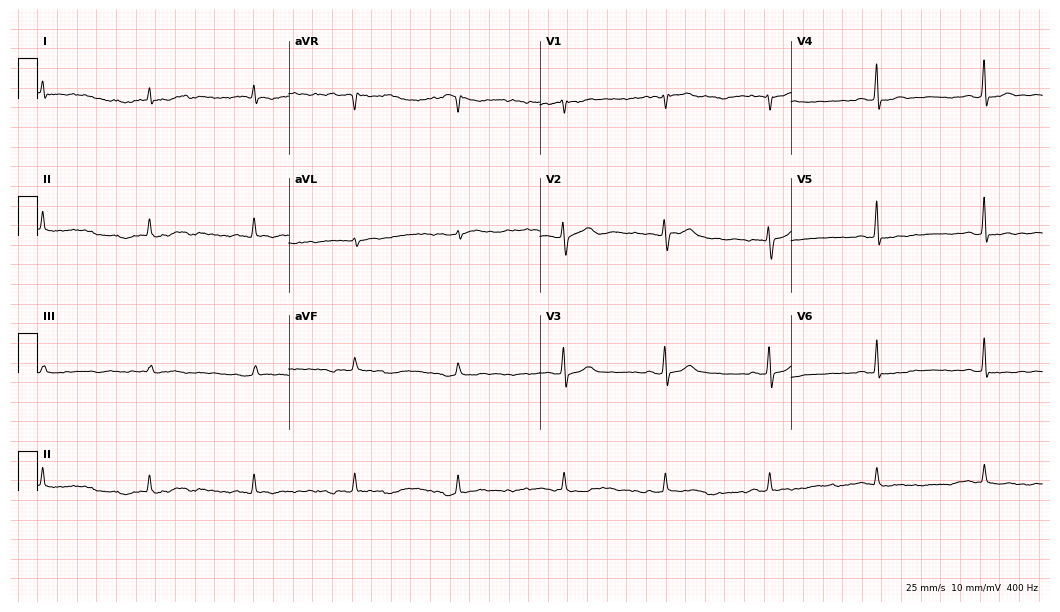
ECG (10.2-second recording at 400 Hz) — a 33-year-old male patient. Screened for six findings — first-degree AV block, right bundle branch block (RBBB), left bundle branch block (LBBB), sinus bradycardia, atrial fibrillation (AF), sinus tachycardia — none is recorded.